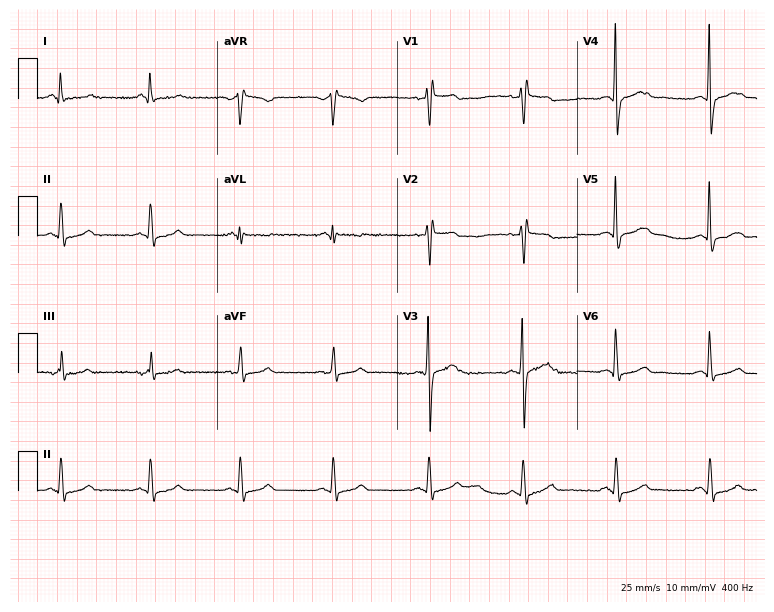
ECG — a male patient, 49 years old. Screened for six findings — first-degree AV block, right bundle branch block (RBBB), left bundle branch block (LBBB), sinus bradycardia, atrial fibrillation (AF), sinus tachycardia — none is recorded.